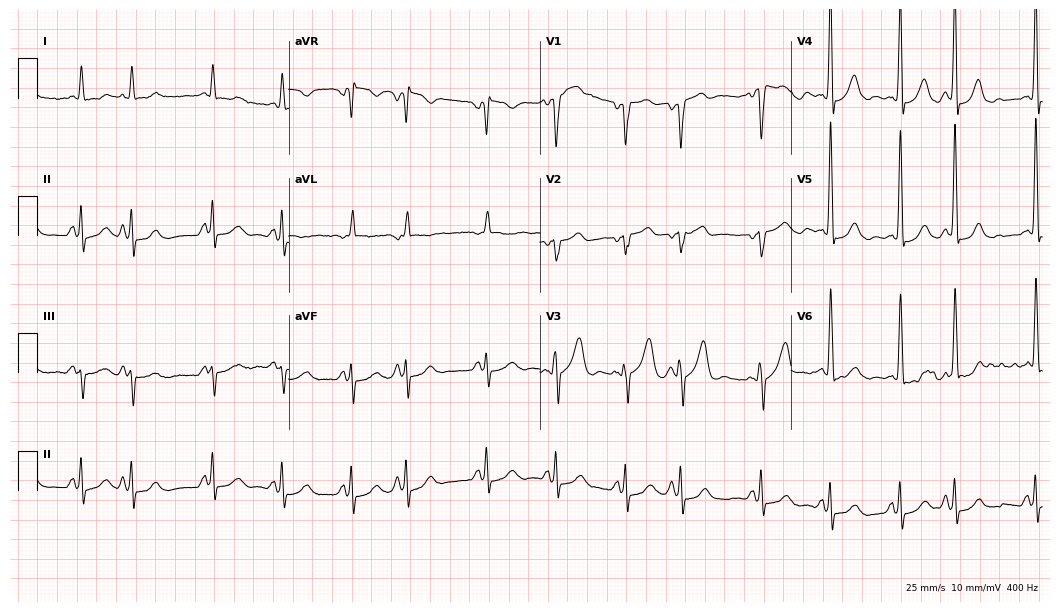
Standard 12-lead ECG recorded from a 68-year-old male (10.2-second recording at 400 Hz). None of these six findings is recorded: first-degree AV block, right bundle branch block, left bundle branch block, sinus bradycardia, atrial fibrillation, sinus tachycardia.